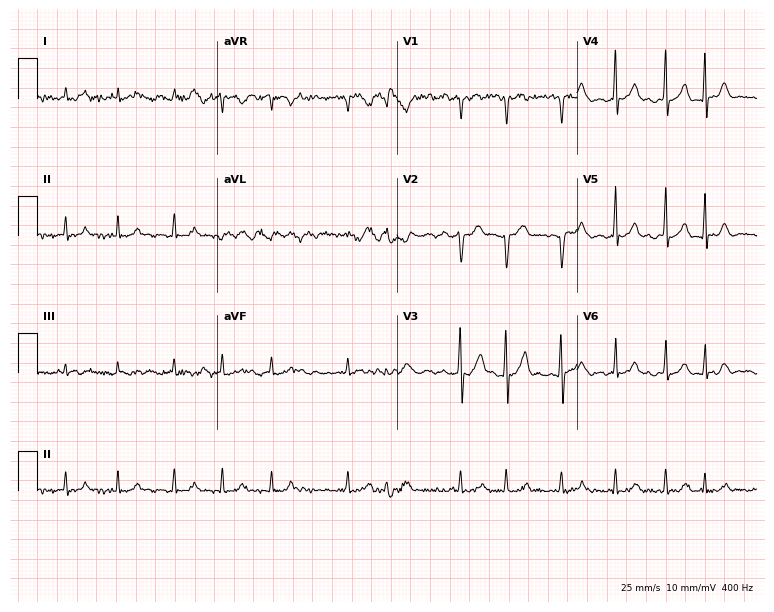
Standard 12-lead ECG recorded from a 69-year-old man. The tracing shows atrial fibrillation (AF).